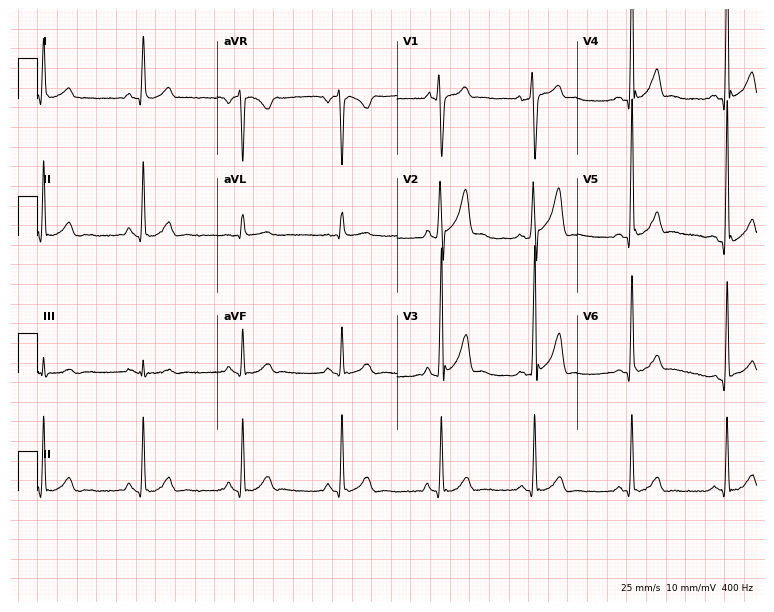
Electrocardiogram, a 41-year-old man. Overall reading on record: normal ECG.